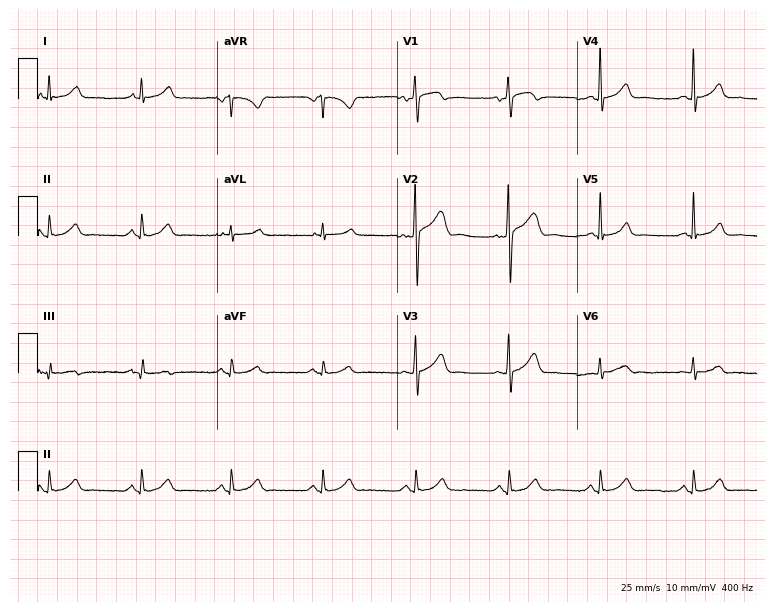
Standard 12-lead ECG recorded from a male patient, 44 years old (7.3-second recording at 400 Hz). Read as a normal ECG.